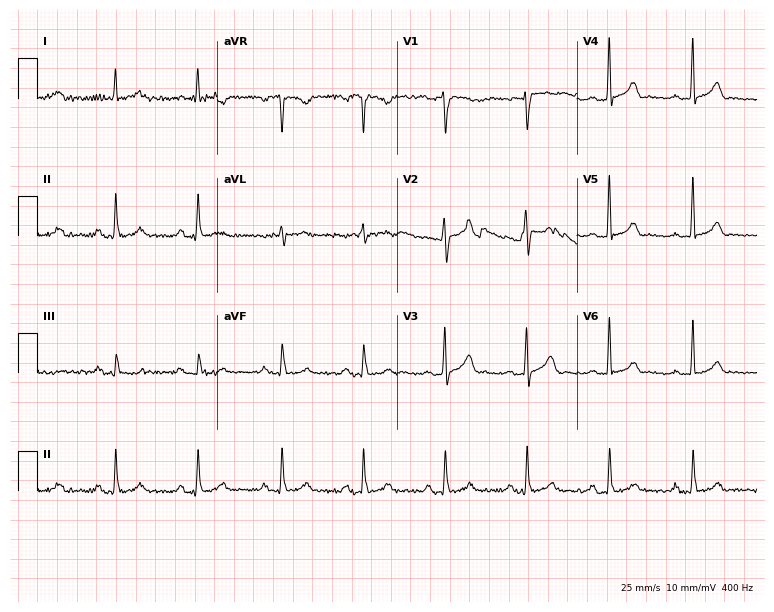
ECG — a male patient, 73 years old. Screened for six findings — first-degree AV block, right bundle branch block, left bundle branch block, sinus bradycardia, atrial fibrillation, sinus tachycardia — none is recorded. Only these six findings were labelled.